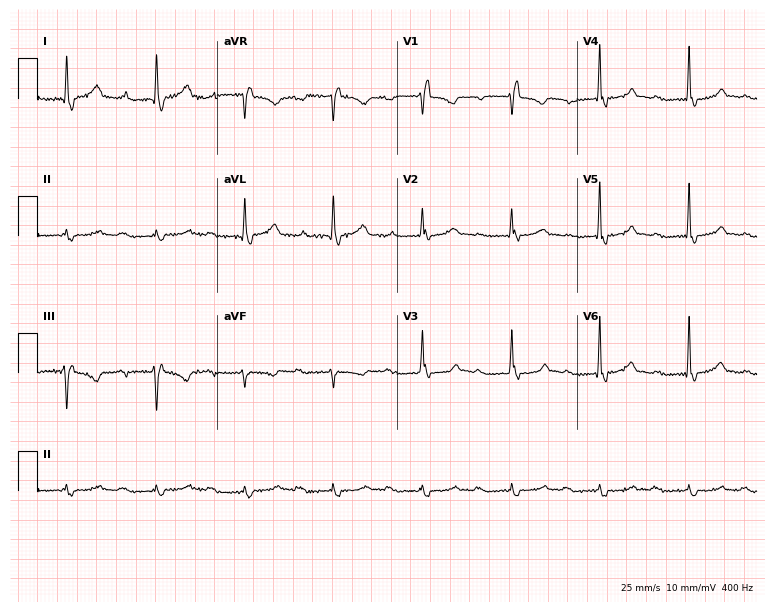
Standard 12-lead ECG recorded from a female patient, 67 years old. The tracing shows first-degree AV block, right bundle branch block (RBBB).